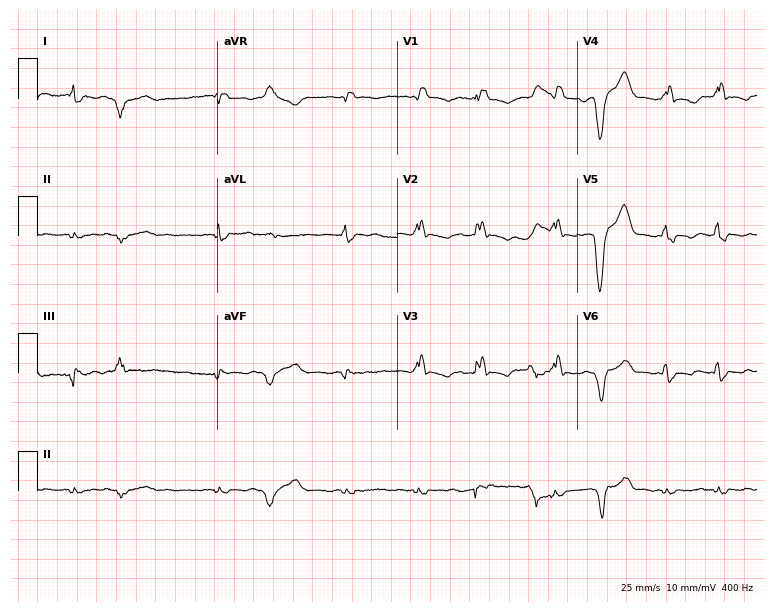
Resting 12-lead electrocardiogram. Patient: a female, 64 years old. The tracing shows right bundle branch block (RBBB), atrial fibrillation (AF).